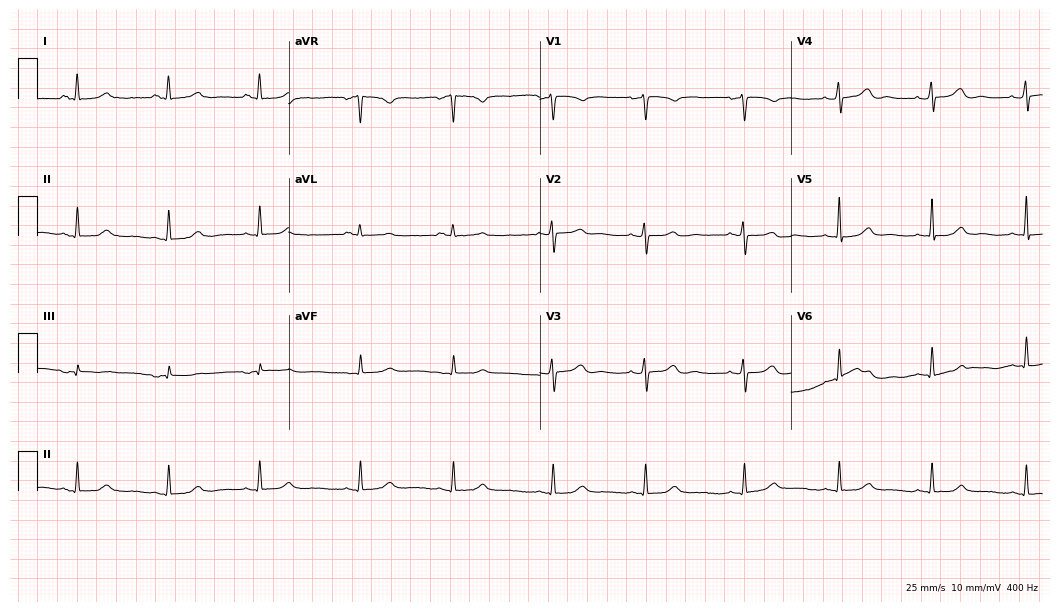
Resting 12-lead electrocardiogram. Patient: a 24-year-old woman. None of these six findings is recorded: first-degree AV block, right bundle branch block, left bundle branch block, sinus bradycardia, atrial fibrillation, sinus tachycardia.